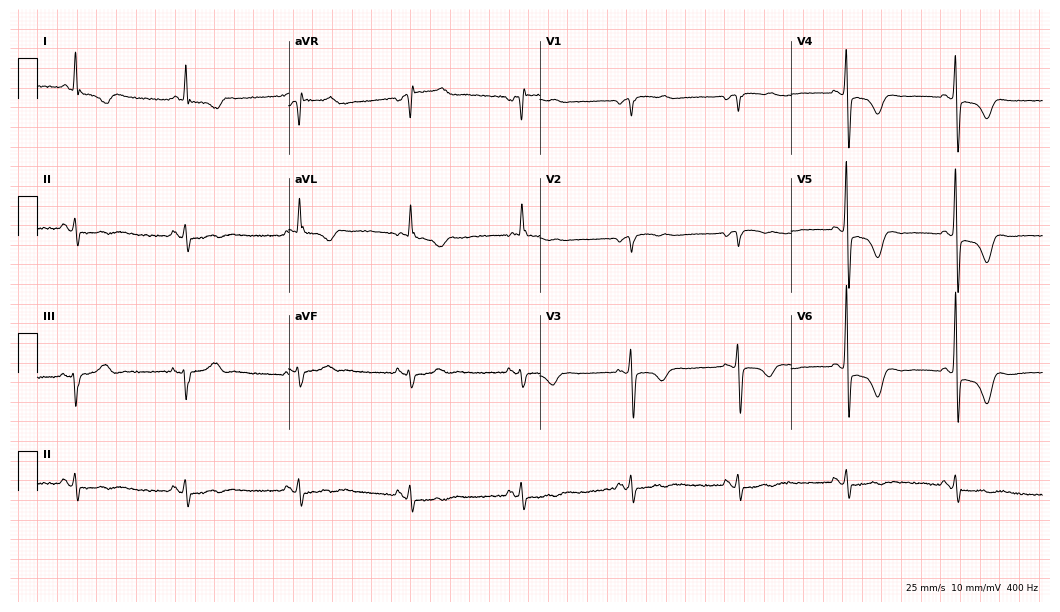
12-lead ECG from a 72-year-old female patient. No first-degree AV block, right bundle branch block, left bundle branch block, sinus bradycardia, atrial fibrillation or sinus tachycardia recorded for this tracing. Findings outside these six are not listed.